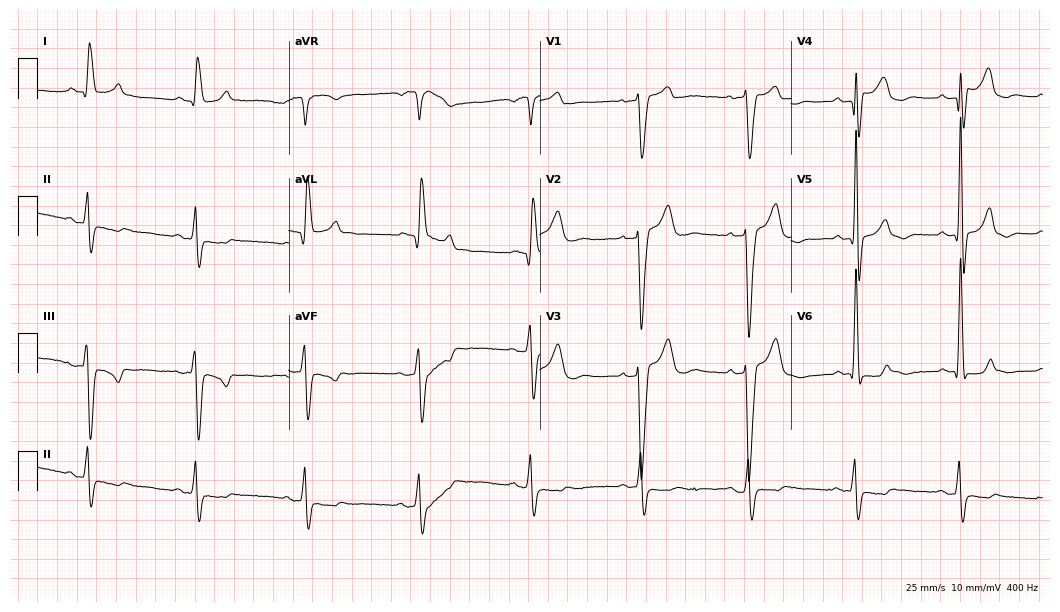
12-lead ECG from a 62-year-old man. No first-degree AV block, right bundle branch block (RBBB), left bundle branch block (LBBB), sinus bradycardia, atrial fibrillation (AF) or sinus tachycardia recorded for this tracing. Other findings, if any, are not listed.